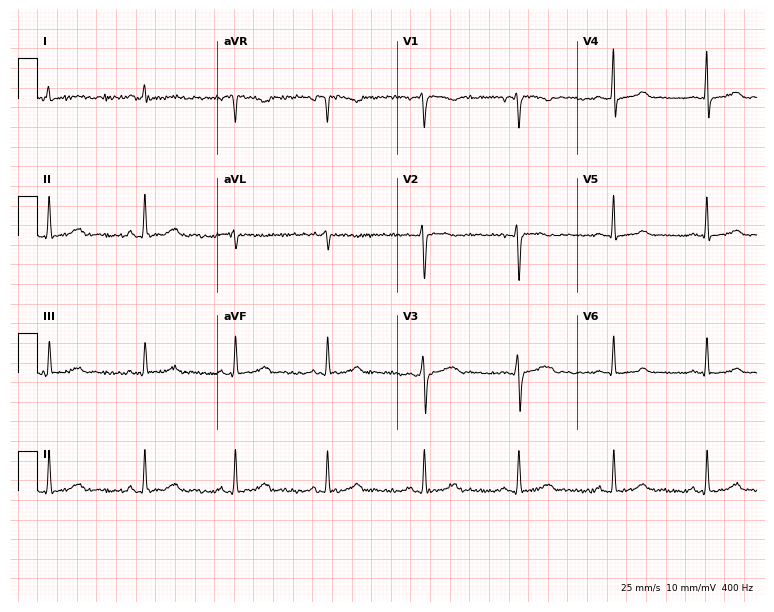
12-lead ECG from a 30-year-old female patient (7.3-second recording at 400 Hz). No first-degree AV block, right bundle branch block (RBBB), left bundle branch block (LBBB), sinus bradycardia, atrial fibrillation (AF) or sinus tachycardia recorded for this tracing. Findings outside these six are not listed.